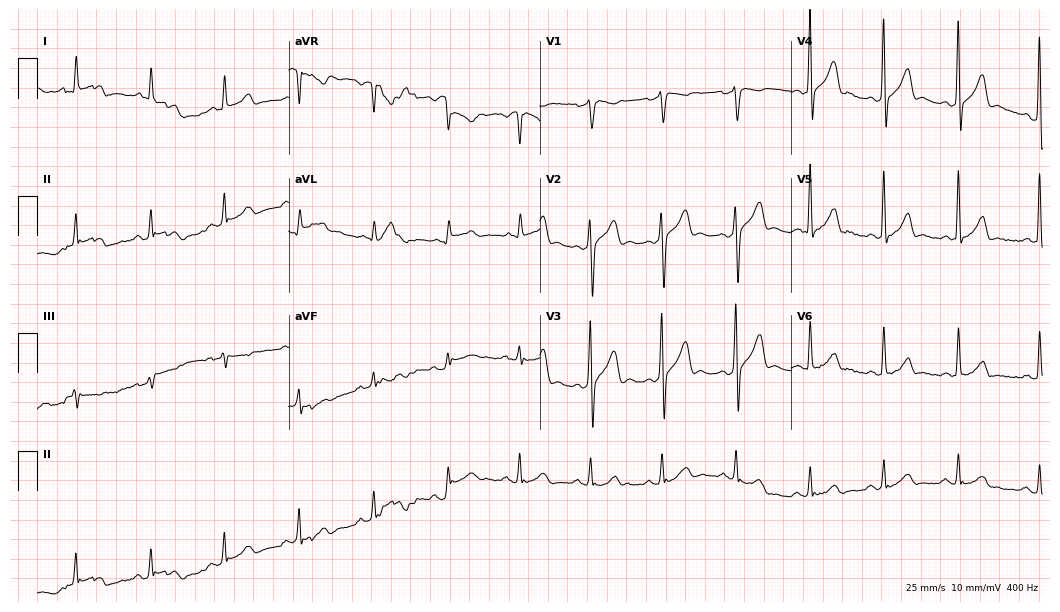
Standard 12-lead ECG recorded from a male, 45 years old. Read as a normal ECG.